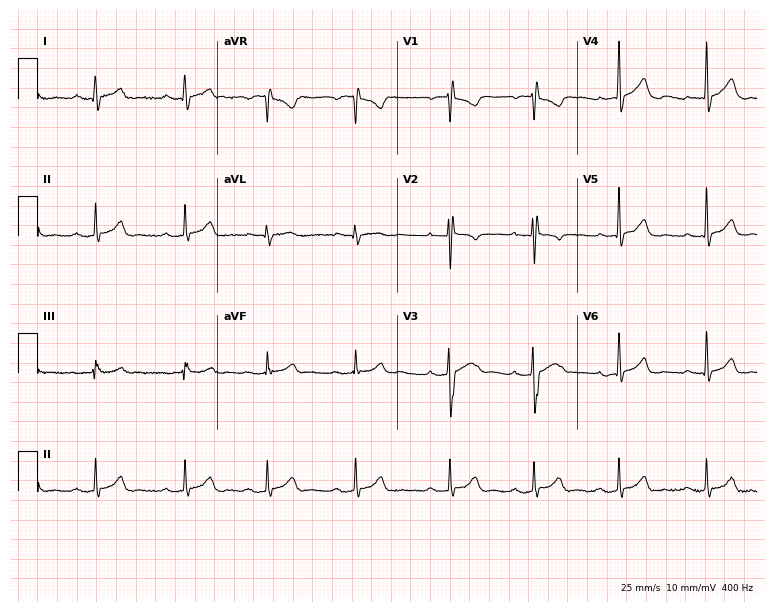
ECG (7.3-second recording at 400 Hz) — a woman, 23 years old. Findings include first-degree AV block.